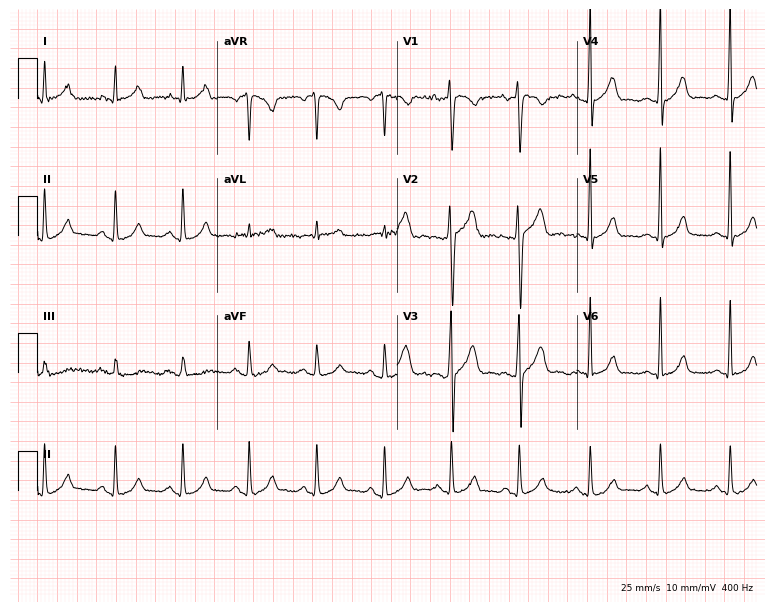
12-lead ECG (7.3-second recording at 400 Hz) from a 27-year-old man. Labelled as a normal ECG.